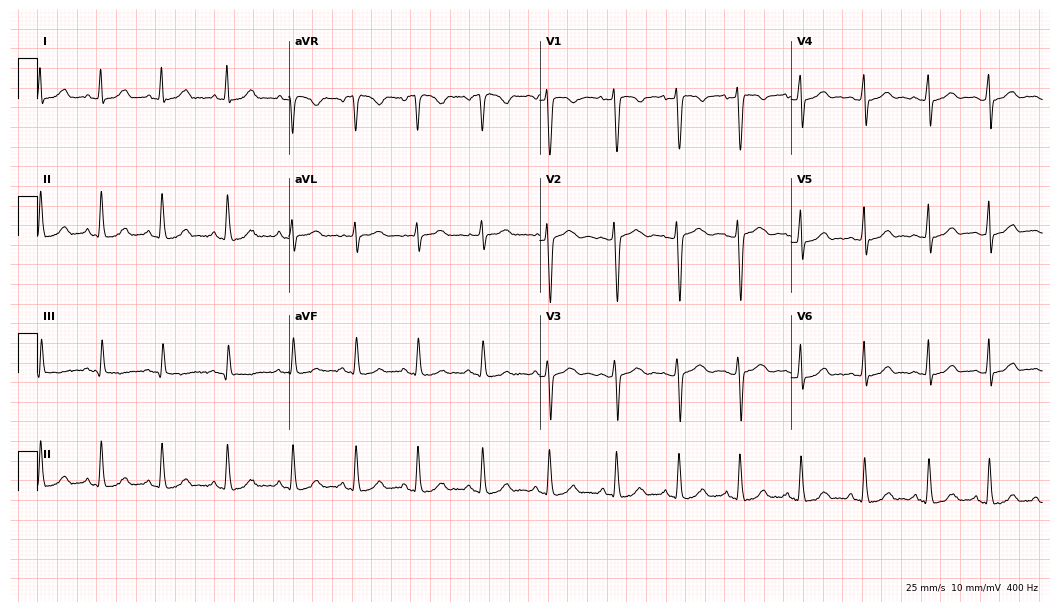
Resting 12-lead electrocardiogram (10.2-second recording at 400 Hz). Patient: a woman, 25 years old. None of these six findings is recorded: first-degree AV block, right bundle branch block (RBBB), left bundle branch block (LBBB), sinus bradycardia, atrial fibrillation (AF), sinus tachycardia.